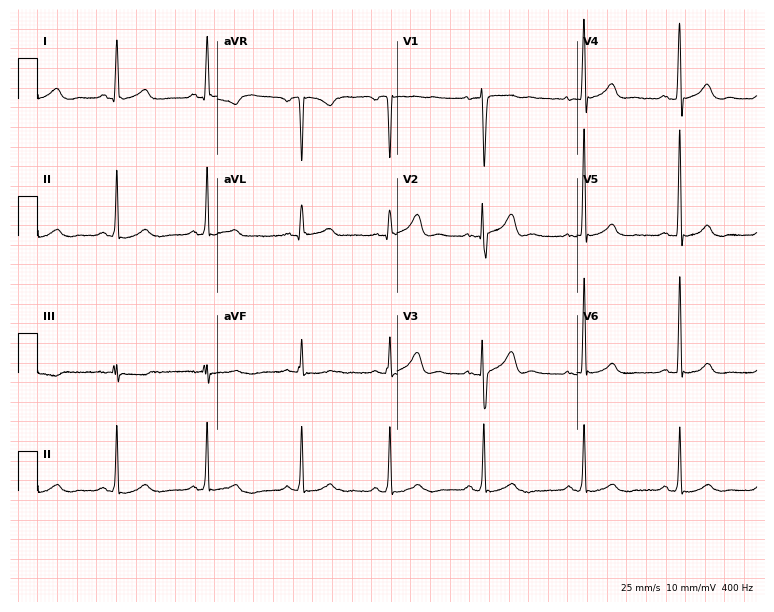
Electrocardiogram (7.3-second recording at 400 Hz), a woman, 41 years old. Of the six screened findings (first-degree AV block, right bundle branch block (RBBB), left bundle branch block (LBBB), sinus bradycardia, atrial fibrillation (AF), sinus tachycardia), none is recorded. Only these six findings were labelled.